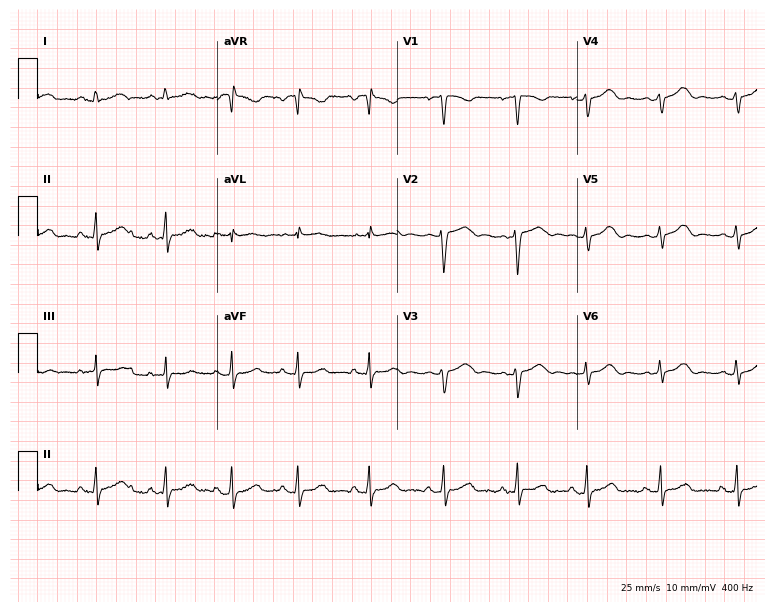
Electrocardiogram, a 20-year-old female patient. Of the six screened findings (first-degree AV block, right bundle branch block, left bundle branch block, sinus bradycardia, atrial fibrillation, sinus tachycardia), none is recorded.